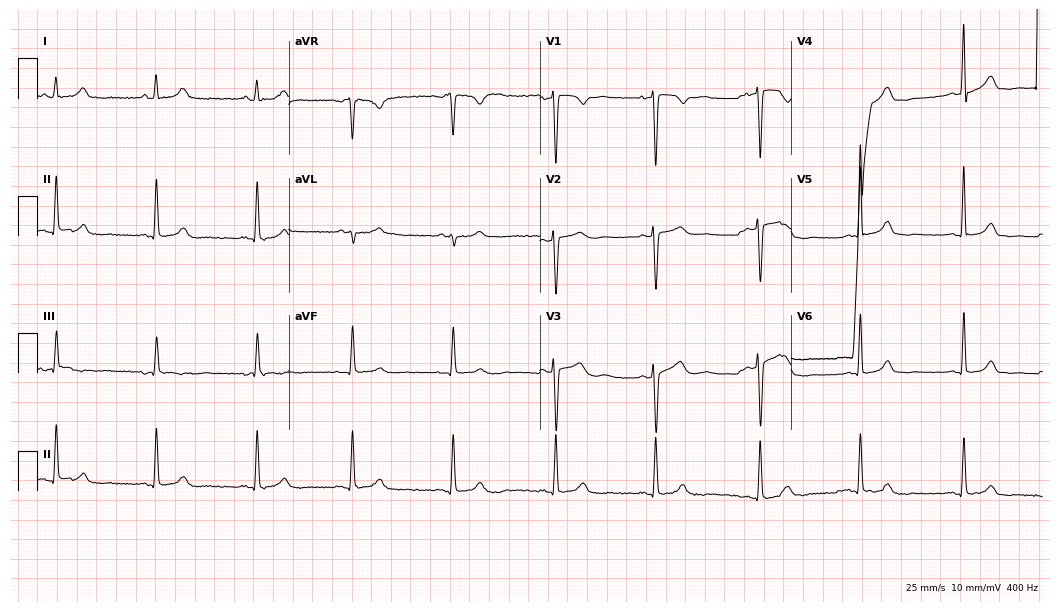
Resting 12-lead electrocardiogram (10.2-second recording at 400 Hz). Patient: a 33-year-old female. None of these six findings is recorded: first-degree AV block, right bundle branch block, left bundle branch block, sinus bradycardia, atrial fibrillation, sinus tachycardia. Other findings, if any, are not listed.